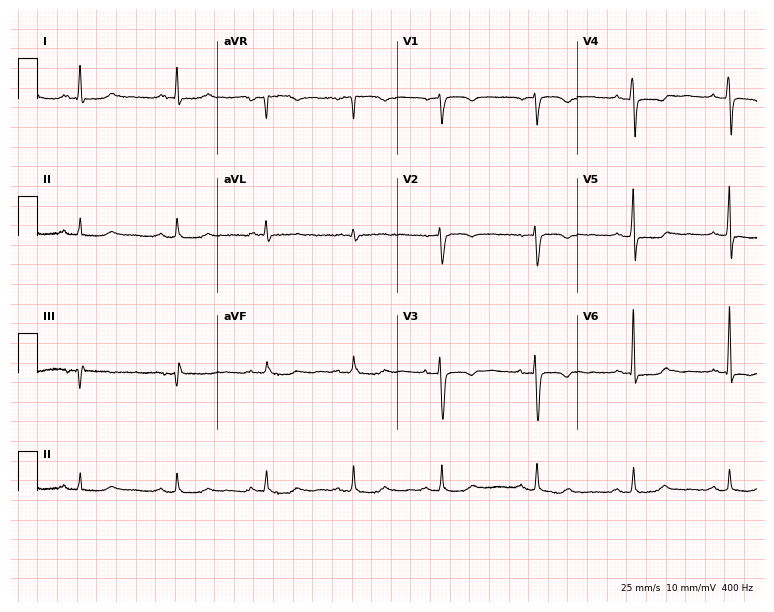
12-lead ECG from a 57-year-old woman. No first-degree AV block, right bundle branch block, left bundle branch block, sinus bradycardia, atrial fibrillation or sinus tachycardia recorded for this tracing. Other findings, if any, are not listed.